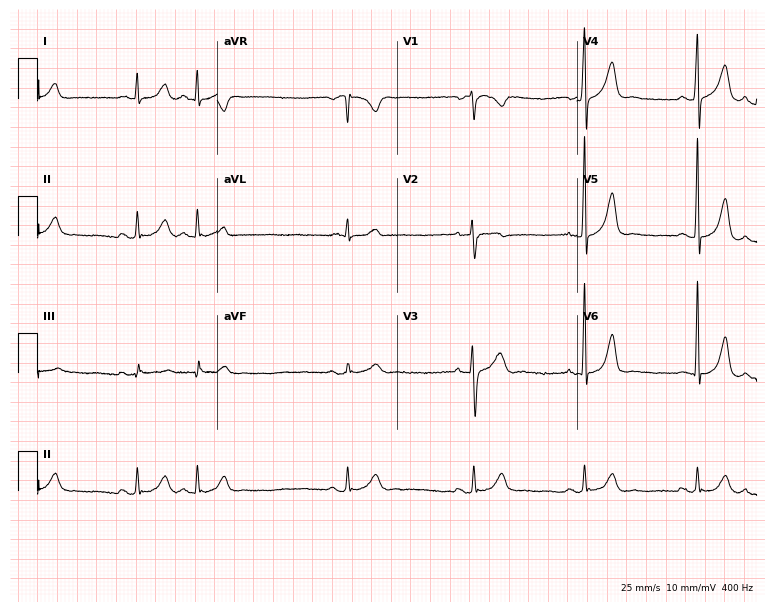
12-lead ECG from a 33-year-old male (7.3-second recording at 400 Hz). No first-degree AV block, right bundle branch block, left bundle branch block, sinus bradycardia, atrial fibrillation or sinus tachycardia recorded for this tracing.